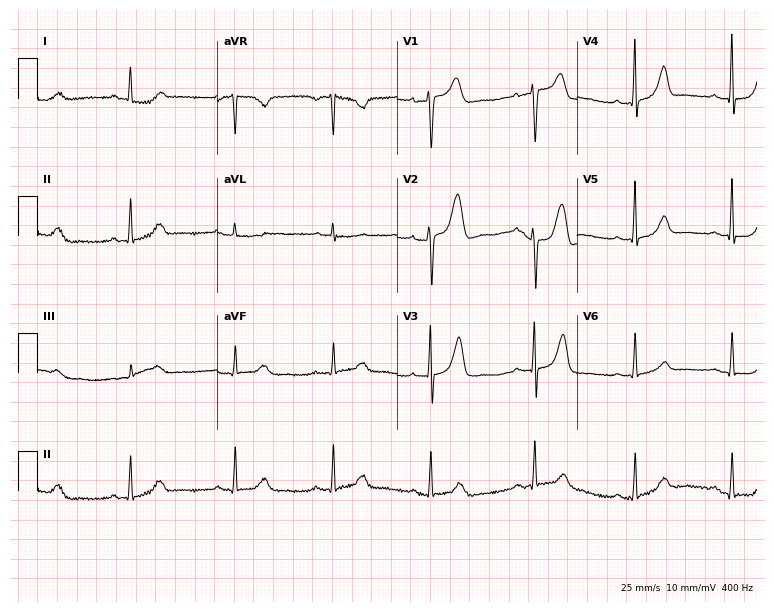
12-lead ECG from a man, 56 years old. Screened for six findings — first-degree AV block, right bundle branch block, left bundle branch block, sinus bradycardia, atrial fibrillation, sinus tachycardia — none is recorded. Only these six findings were labelled.